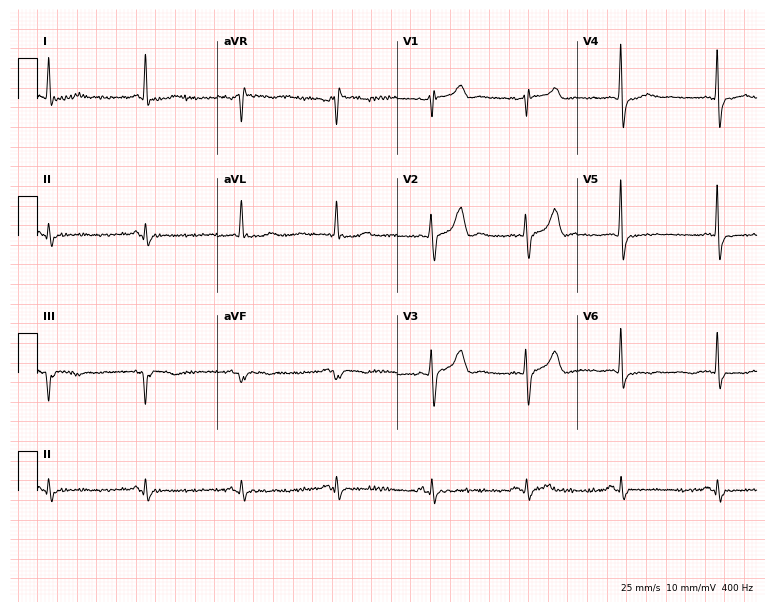
ECG — a male patient, 52 years old. Screened for six findings — first-degree AV block, right bundle branch block, left bundle branch block, sinus bradycardia, atrial fibrillation, sinus tachycardia — none is recorded.